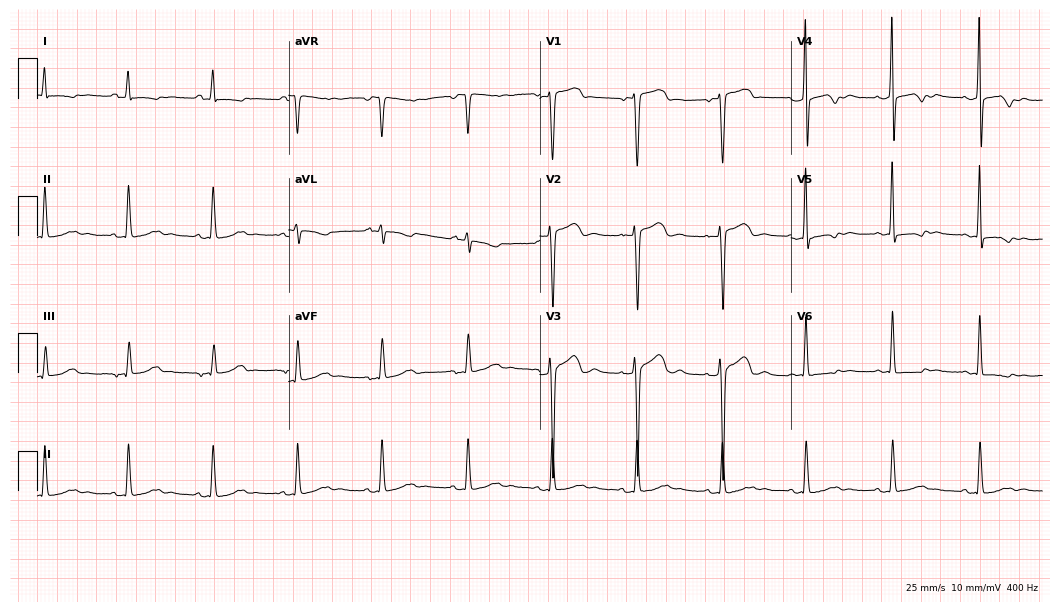
Electrocardiogram, a female, 37 years old. Of the six screened findings (first-degree AV block, right bundle branch block (RBBB), left bundle branch block (LBBB), sinus bradycardia, atrial fibrillation (AF), sinus tachycardia), none is recorded. Only these six findings were labelled.